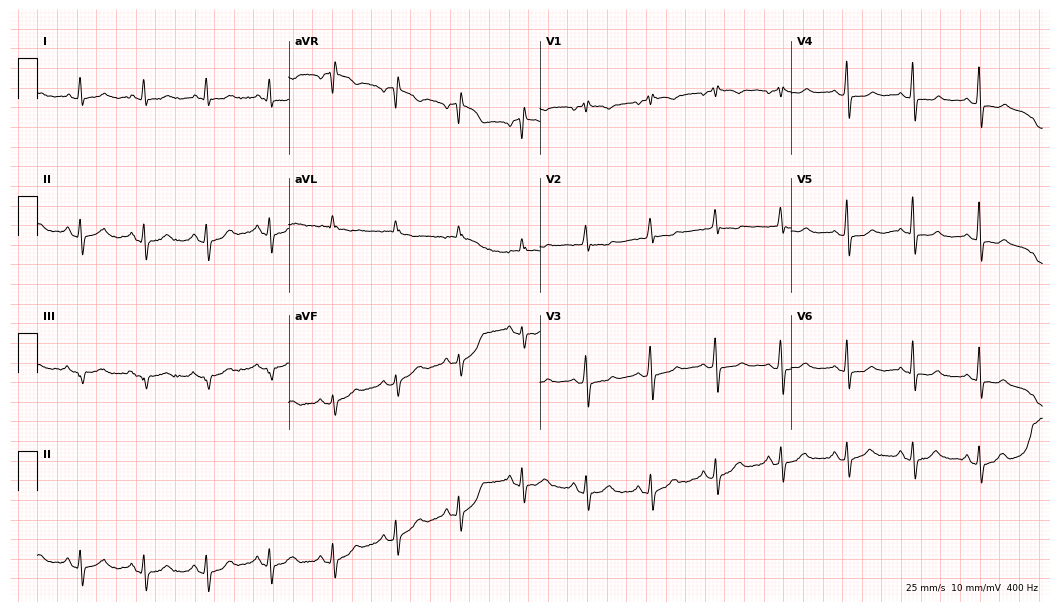
Standard 12-lead ECG recorded from a 67-year-old woman (10.2-second recording at 400 Hz). None of these six findings is recorded: first-degree AV block, right bundle branch block, left bundle branch block, sinus bradycardia, atrial fibrillation, sinus tachycardia.